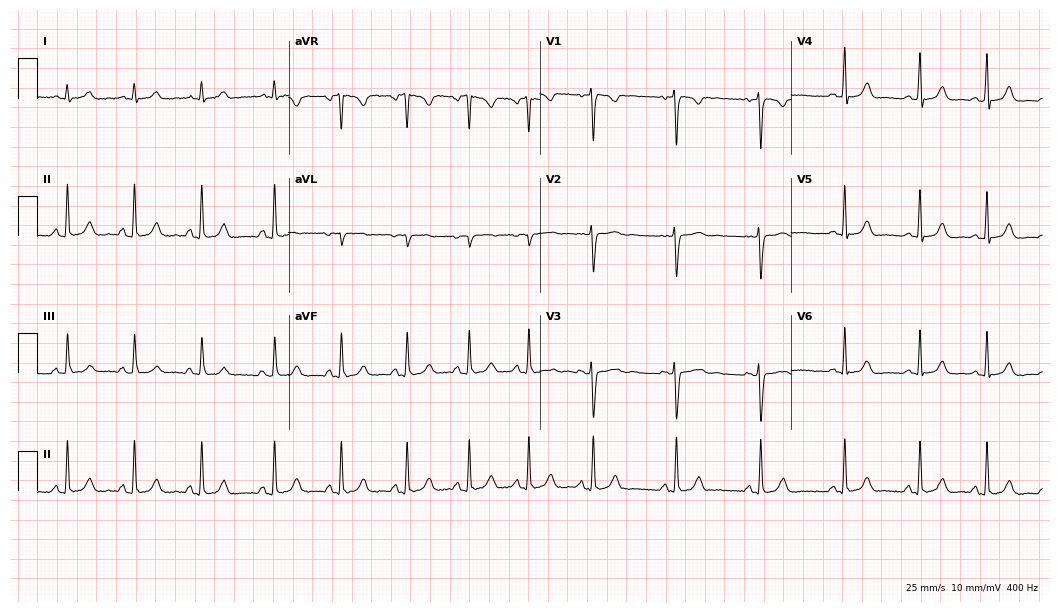
ECG — a woman, 22 years old. Screened for six findings — first-degree AV block, right bundle branch block (RBBB), left bundle branch block (LBBB), sinus bradycardia, atrial fibrillation (AF), sinus tachycardia — none is recorded. Other findings, if any, are not listed.